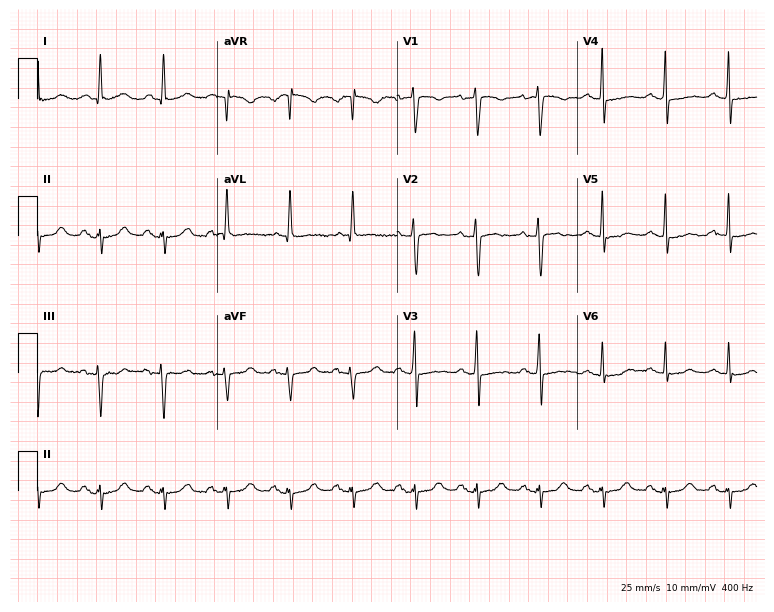
Electrocardiogram, a female patient, 62 years old. Of the six screened findings (first-degree AV block, right bundle branch block, left bundle branch block, sinus bradycardia, atrial fibrillation, sinus tachycardia), none is recorded. Other findings, if any, are not listed.